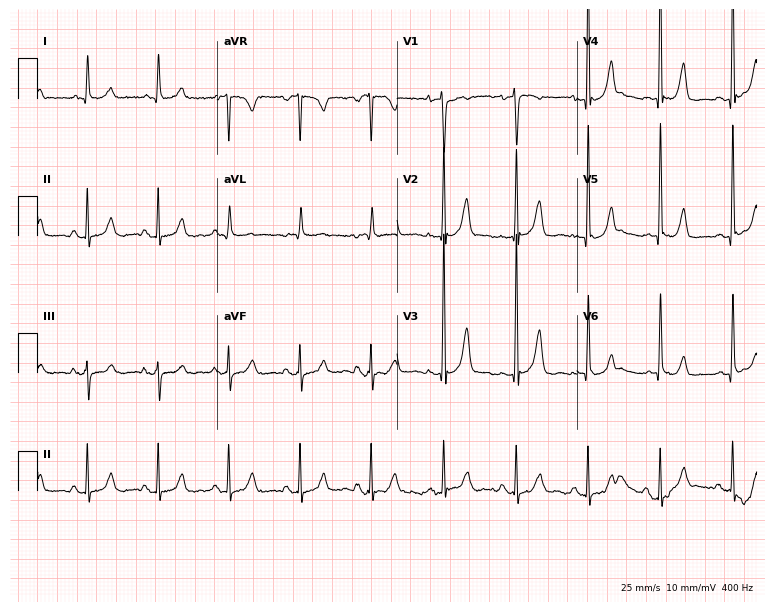
ECG — a 72-year-old male. Screened for six findings — first-degree AV block, right bundle branch block (RBBB), left bundle branch block (LBBB), sinus bradycardia, atrial fibrillation (AF), sinus tachycardia — none is recorded.